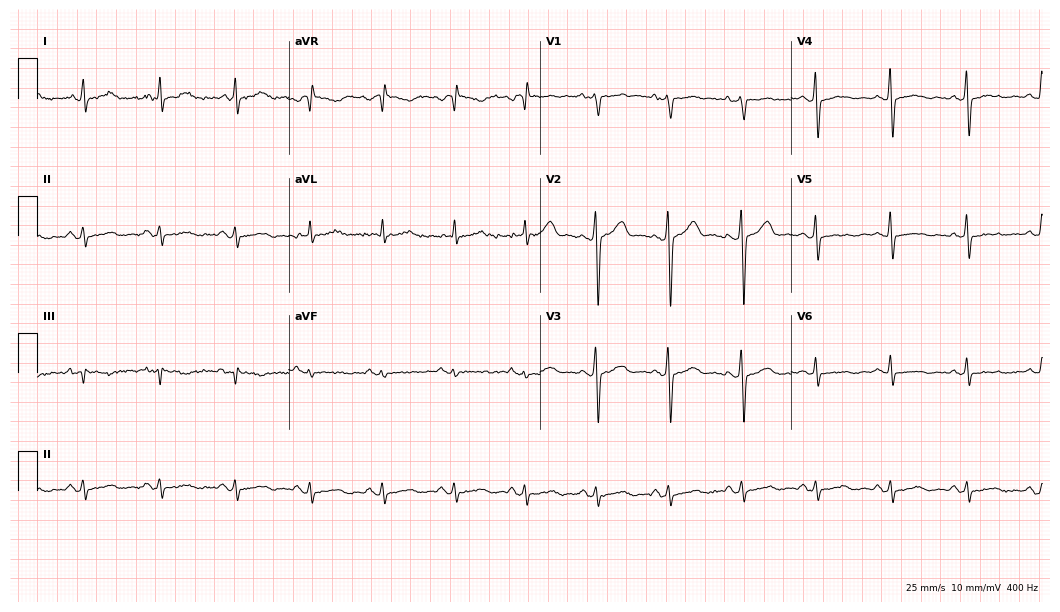
12-lead ECG from a 45-year-old male. Labelled as a normal ECG.